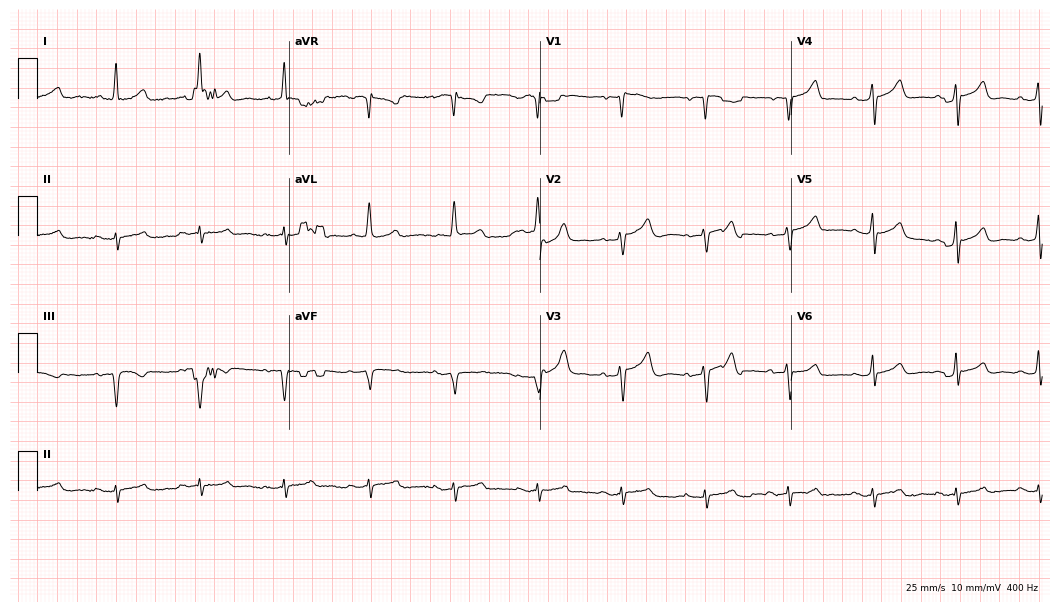
12-lead ECG from a 67-year-old male. No first-degree AV block, right bundle branch block, left bundle branch block, sinus bradycardia, atrial fibrillation or sinus tachycardia recorded for this tracing. Only these six findings were labelled.